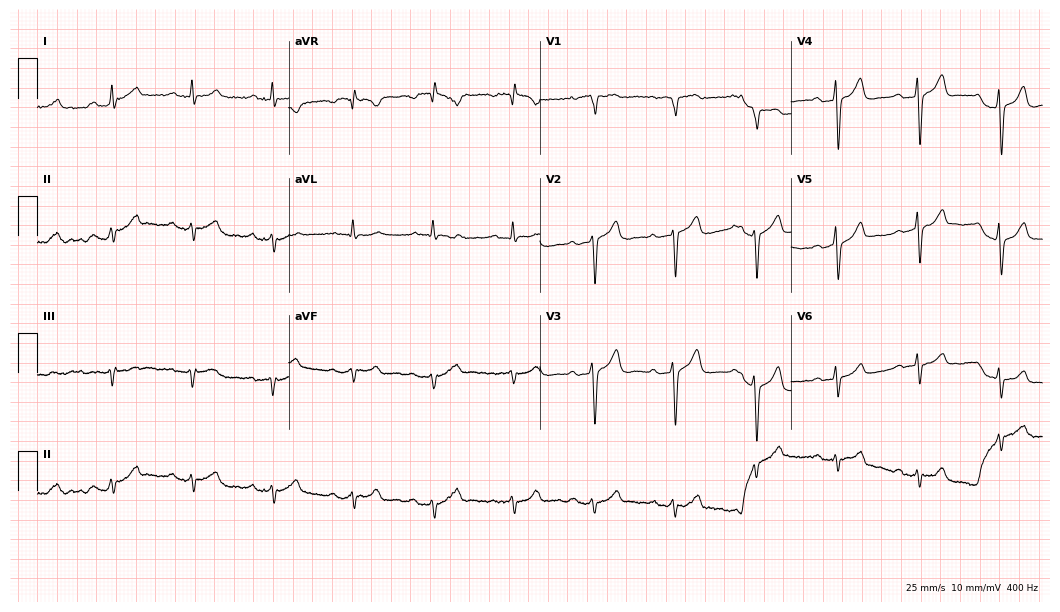
Standard 12-lead ECG recorded from a man, 57 years old (10.2-second recording at 400 Hz). The tracing shows first-degree AV block.